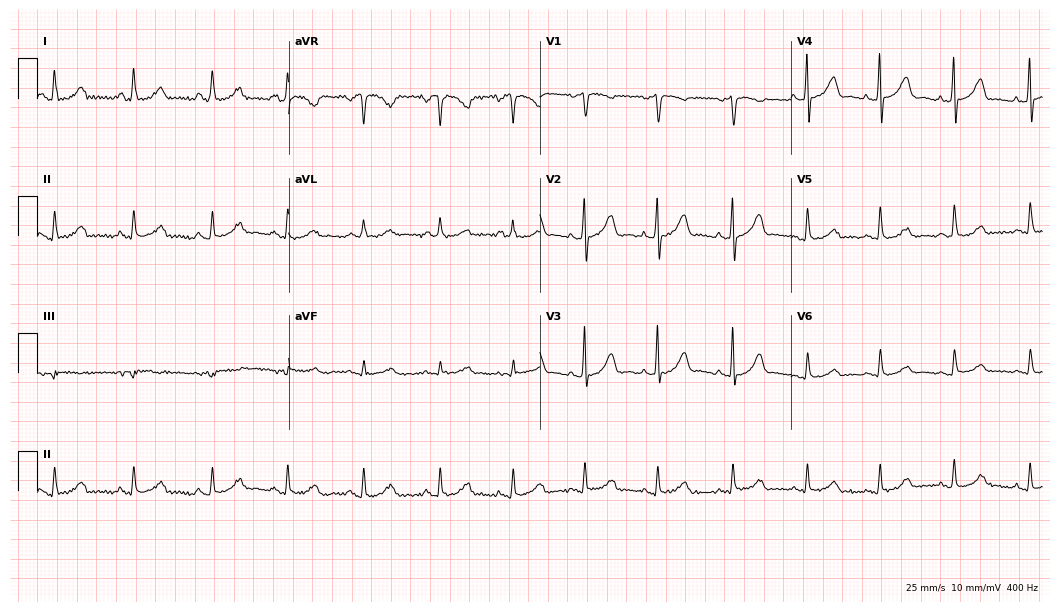
12-lead ECG from a 49-year-old female (10.2-second recording at 400 Hz). Recorded interpretation: within normal limits.